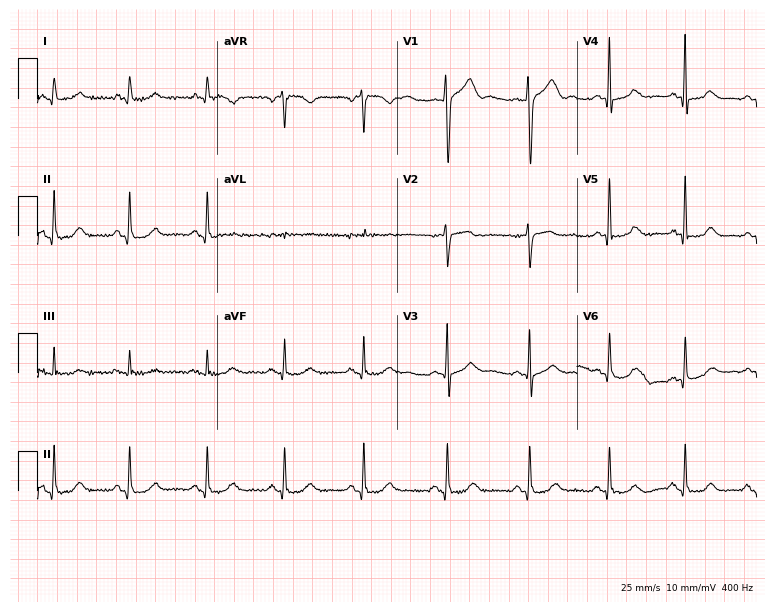
12-lead ECG from a female, 57 years old. Labelled as a normal ECG.